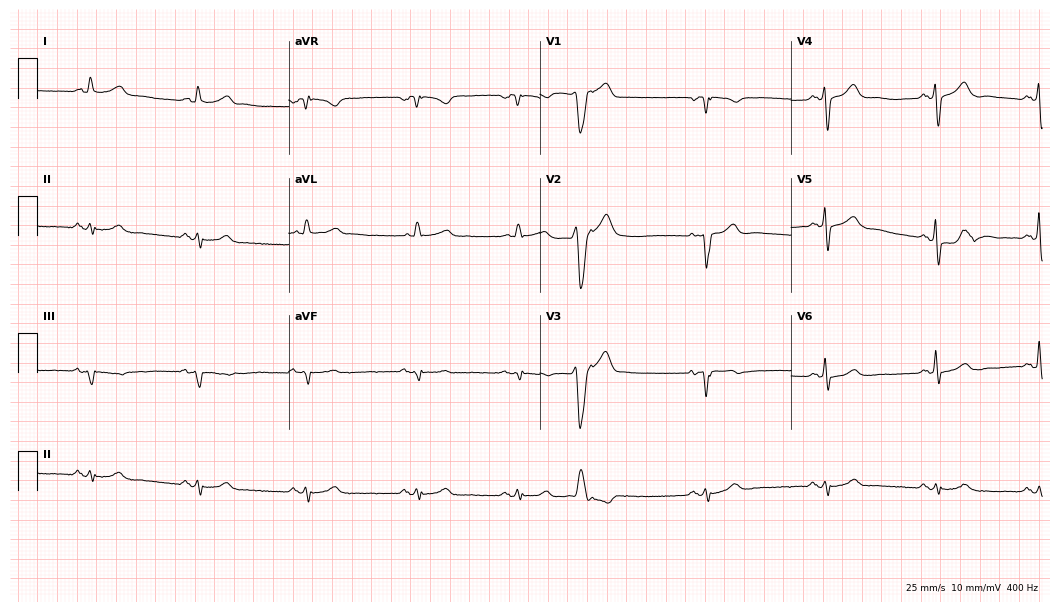
Resting 12-lead electrocardiogram. Patient: a male, 68 years old. None of these six findings is recorded: first-degree AV block, right bundle branch block (RBBB), left bundle branch block (LBBB), sinus bradycardia, atrial fibrillation (AF), sinus tachycardia. Only these six findings were labelled.